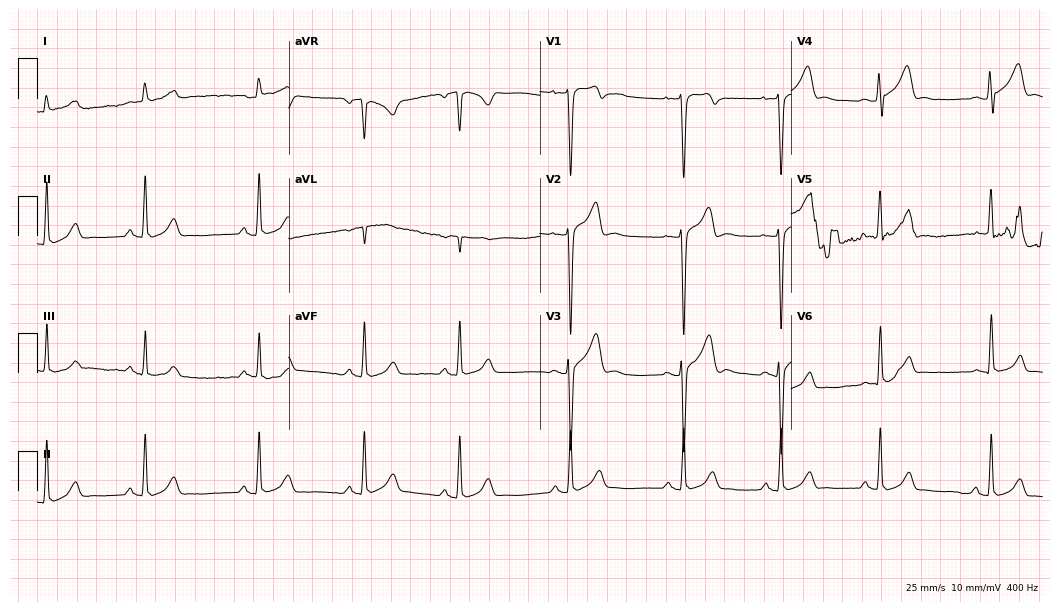
Resting 12-lead electrocardiogram. Patient: a 20-year-old man. Read as a normal ECG.